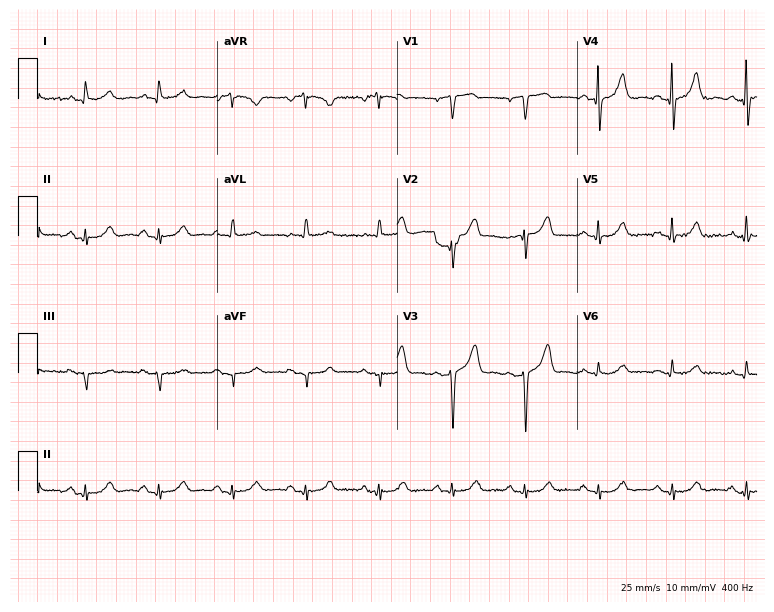
ECG (7.3-second recording at 400 Hz) — an 83-year-old man. Screened for six findings — first-degree AV block, right bundle branch block, left bundle branch block, sinus bradycardia, atrial fibrillation, sinus tachycardia — none is recorded. Only these six findings were labelled.